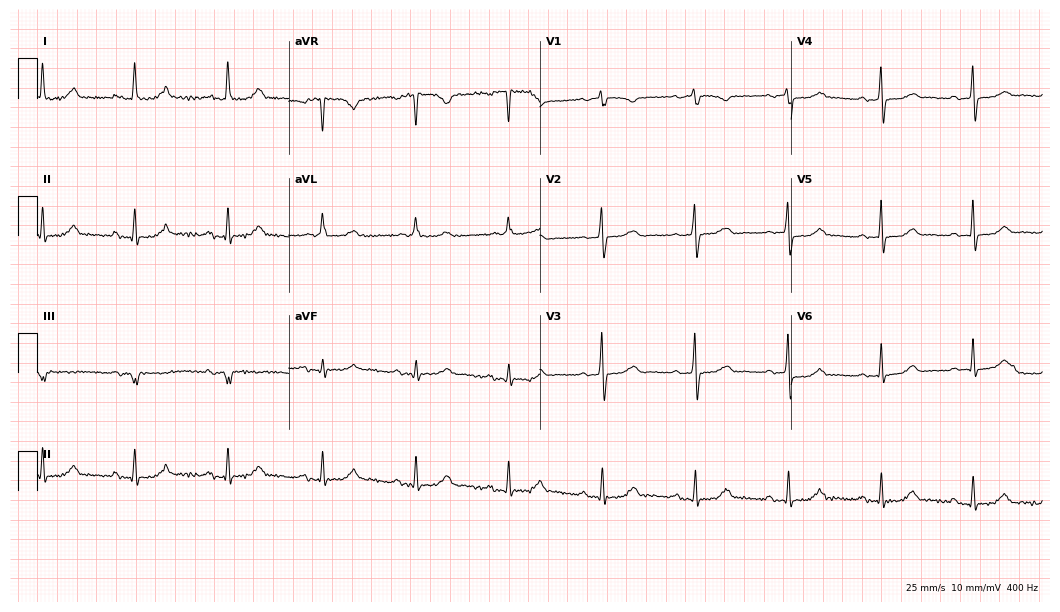
Electrocardiogram, a 79-year-old female. Overall reading on record: normal ECG.